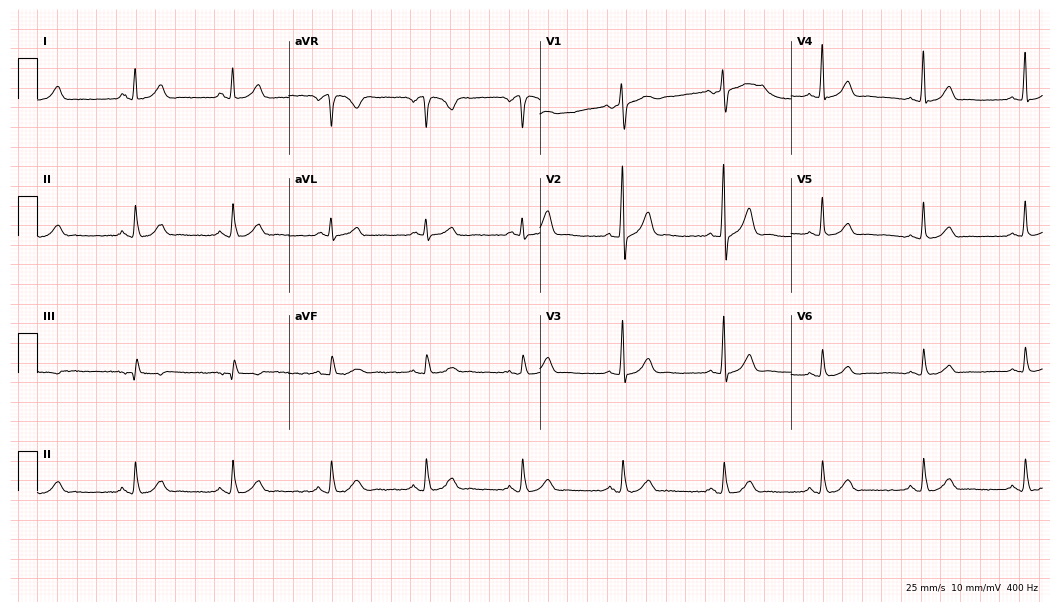
Standard 12-lead ECG recorded from a male, 42 years old. Read as a normal ECG.